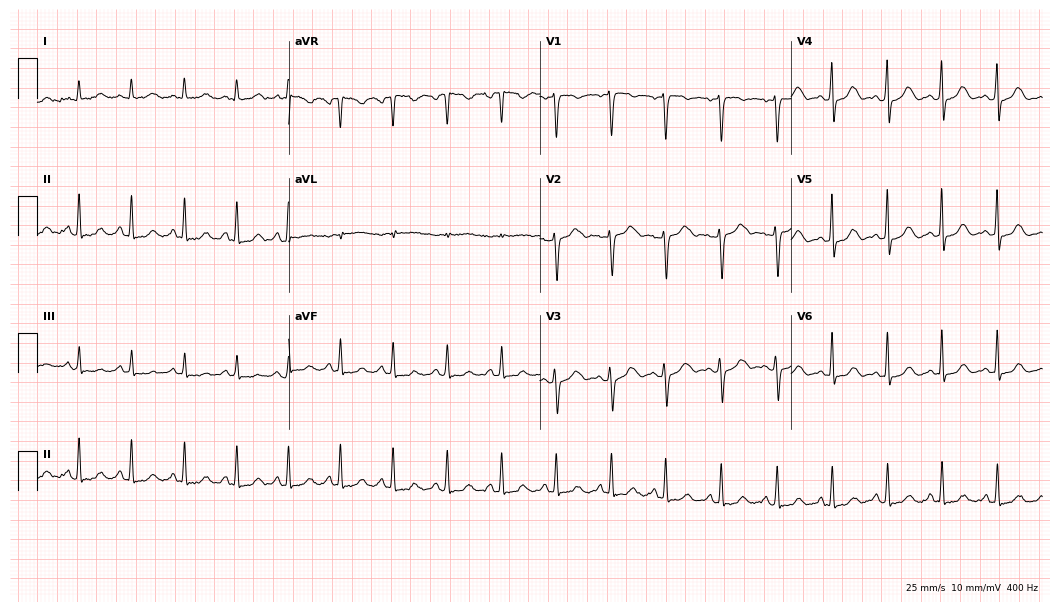
12-lead ECG from a 35-year-old woman. Shows sinus tachycardia (a sinus rate of 100 beats per minute or more).